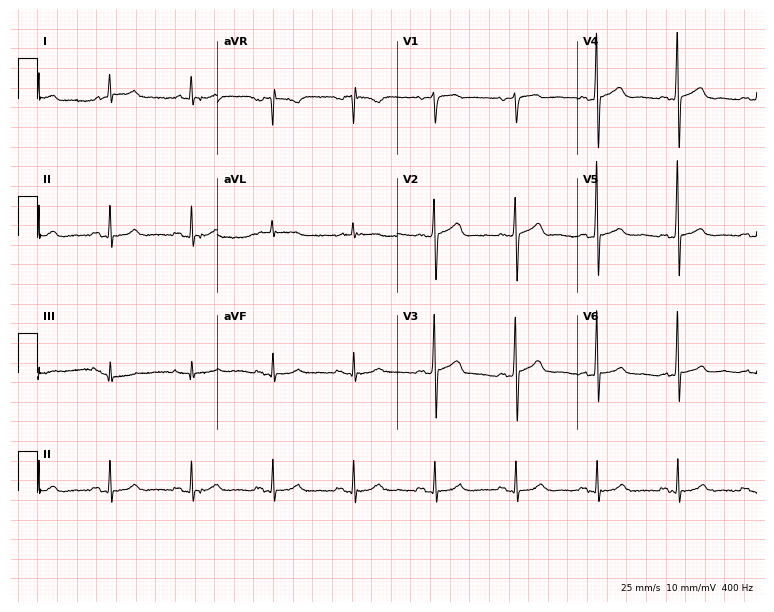
ECG — a 75-year-old male. Labelled as a normal ECG.